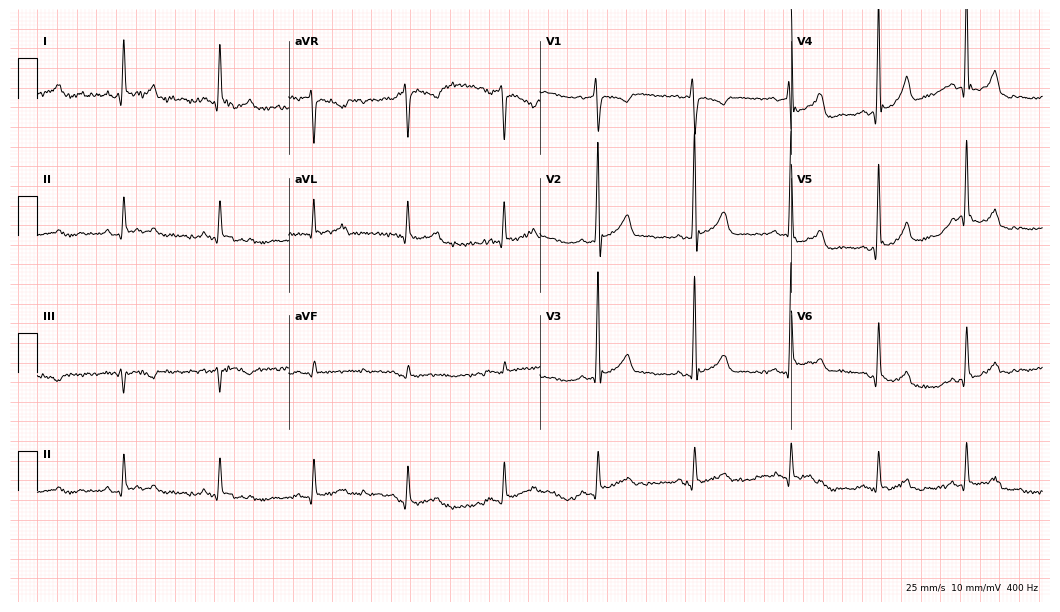
Resting 12-lead electrocardiogram (10.2-second recording at 400 Hz). Patient: a male, 40 years old. Read as a normal ECG.